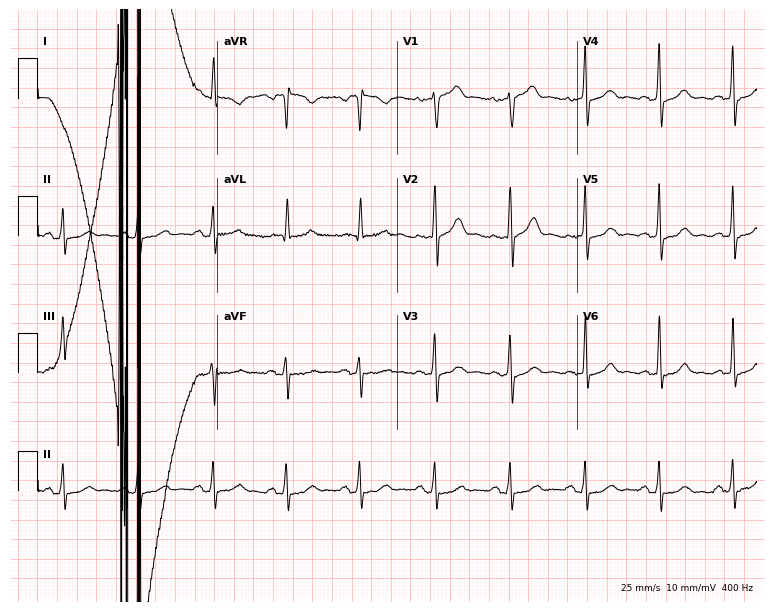
Standard 12-lead ECG recorded from a 72-year-old male patient. Read as a normal ECG.